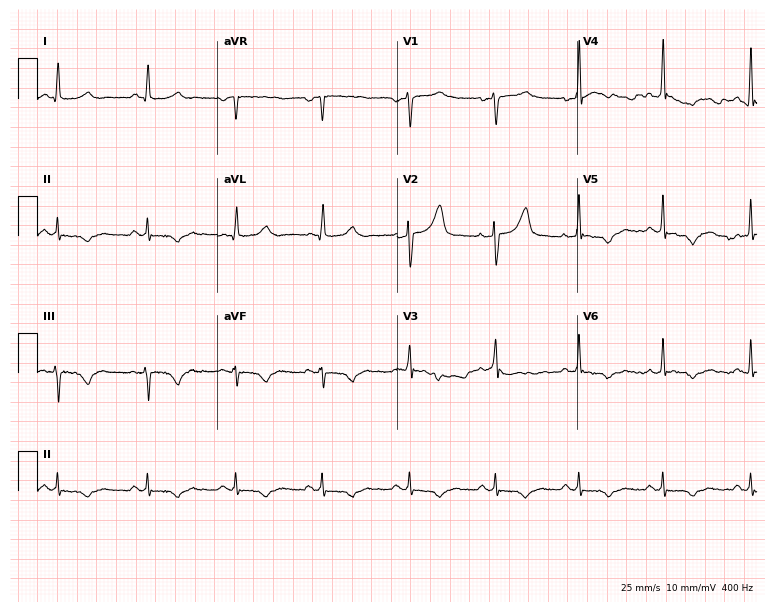
Standard 12-lead ECG recorded from a 55-year-old man (7.3-second recording at 400 Hz). None of these six findings is recorded: first-degree AV block, right bundle branch block (RBBB), left bundle branch block (LBBB), sinus bradycardia, atrial fibrillation (AF), sinus tachycardia. Findings outside these six are not listed.